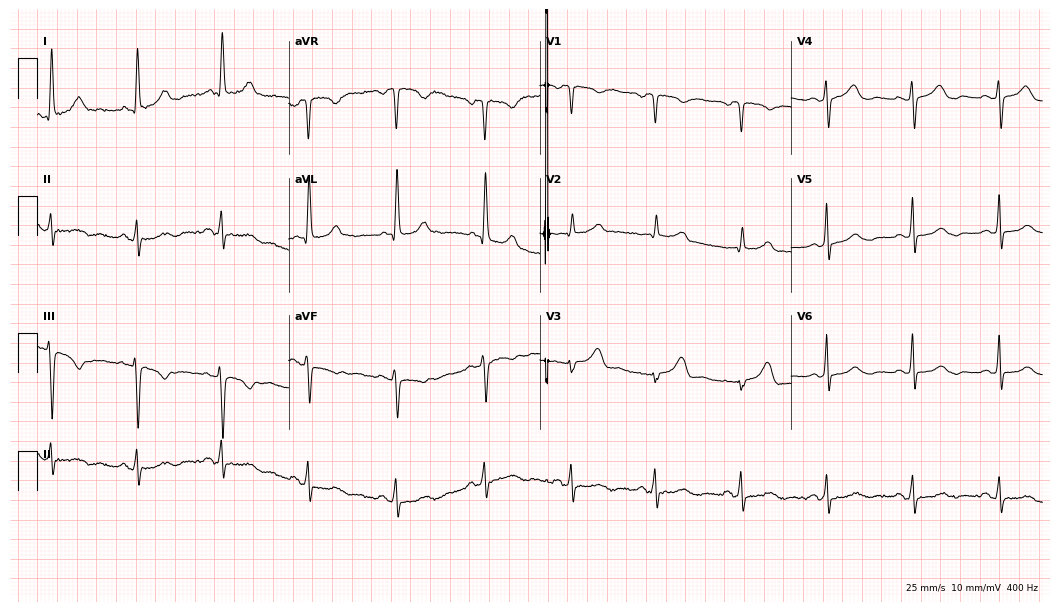
ECG — a 73-year-old female. Screened for six findings — first-degree AV block, right bundle branch block, left bundle branch block, sinus bradycardia, atrial fibrillation, sinus tachycardia — none is recorded.